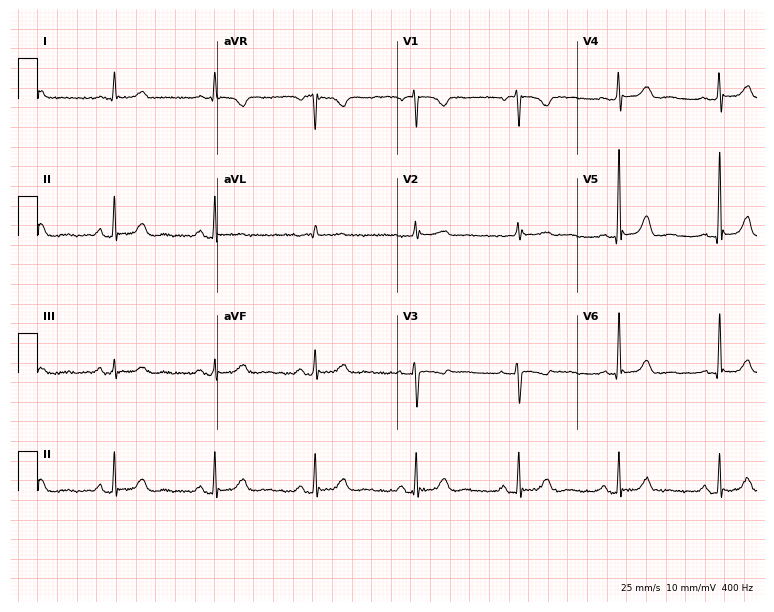
Electrocardiogram, a woman, 66 years old. Overall reading on record: normal ECG.